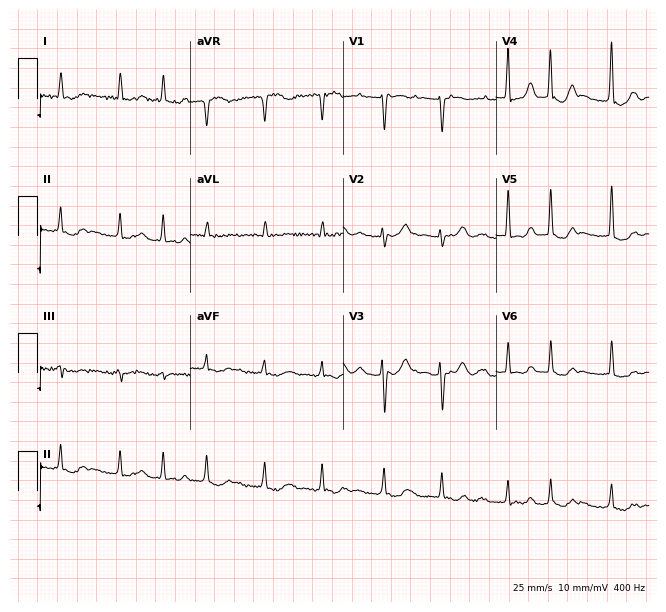
12-lead ECG (6.2-second recording at 400 Hz) from a man, 85 years old. Findings include atrial fibrillation.